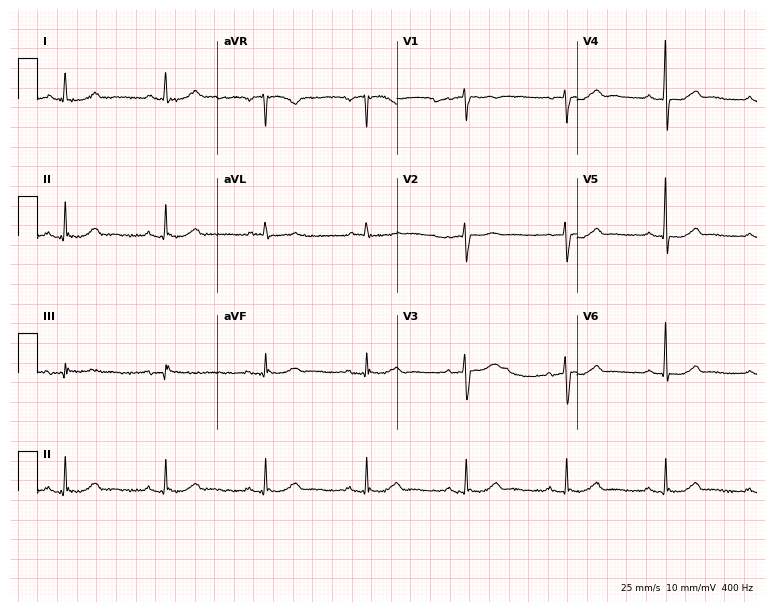
ECG (7.3-second recording at 400 Hz) — an 81-year-old female. Screened for six findings — first-degree AV block, right bundle branch block, left bundle branch block, sinus bradycardia, atrial fibrillation, sinus tachycardia — none is recorded. Other findings, if any, are not listed.